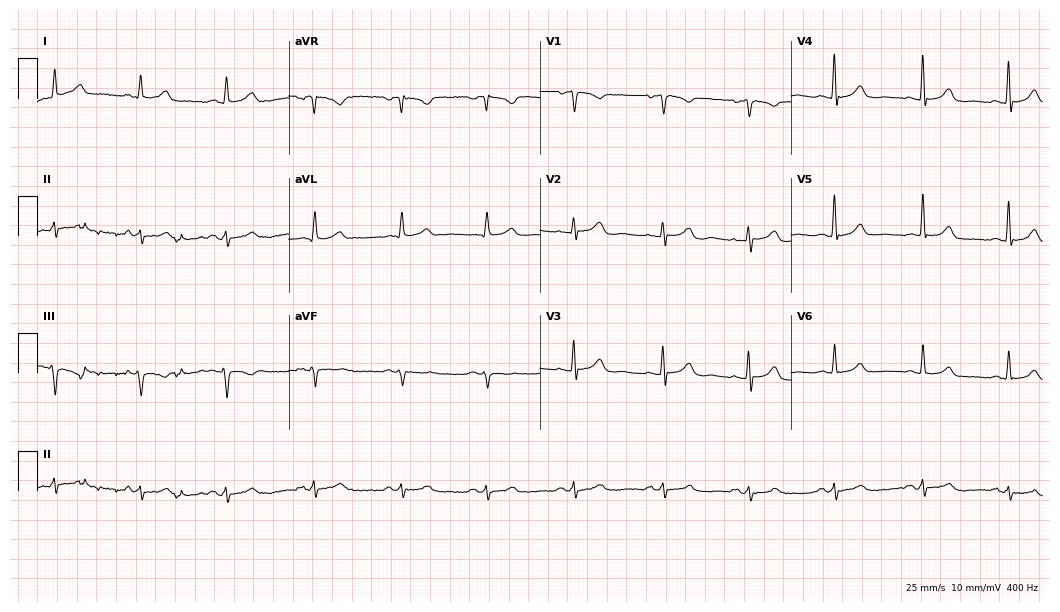
ECG — a female patient, 48 years old. Labelled as a normal ECG.